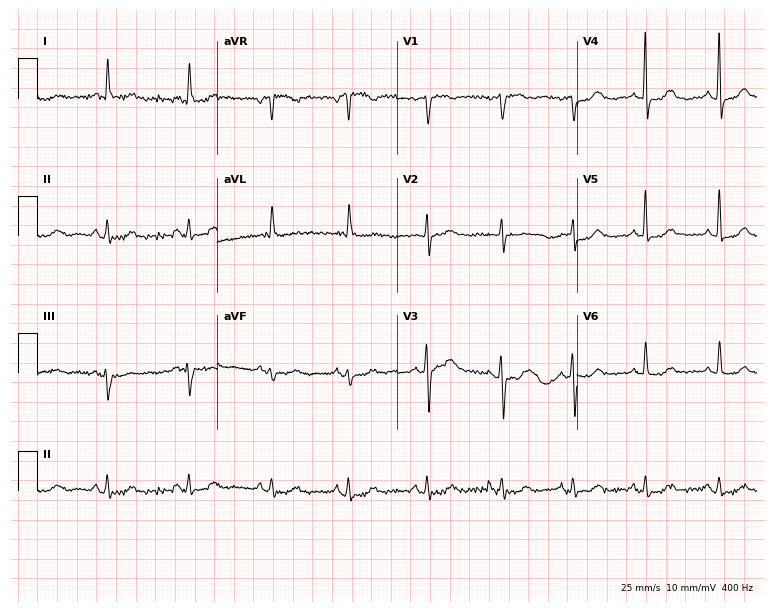
12-lead ECG from a 77-year-old woman. No first-degree AV block, right bundle branch block, left bundle branch block, sinus bradycardia, atrial fibrillation or sinus tachycardia recorded for this tracing. Only these six findings were labelled.